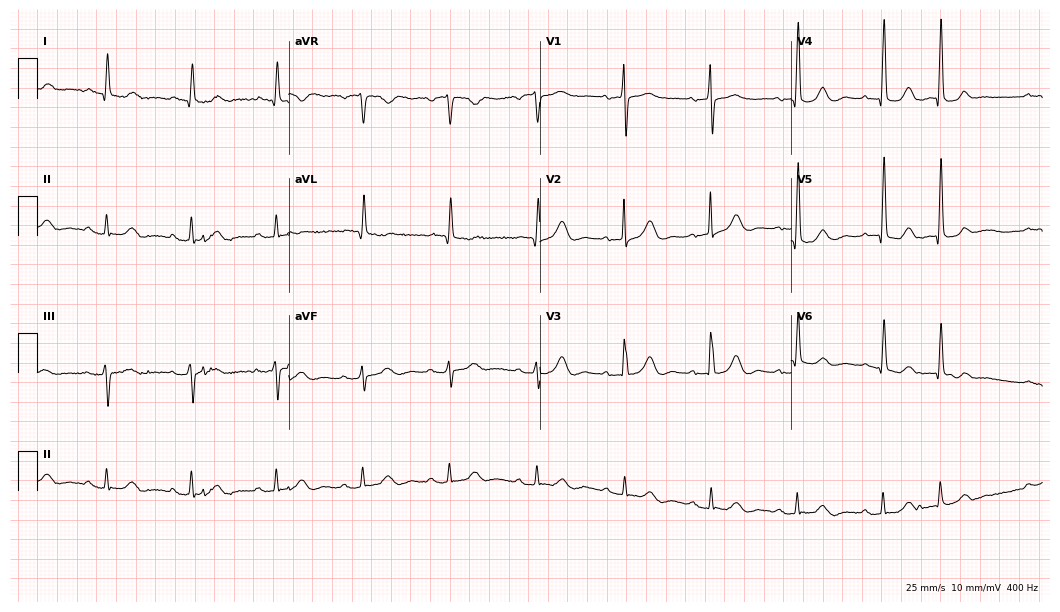
Standard 12-lead ECG recorded from a female, 83 years old (10.2-second recording at 400 Hz). None of these six findings is recorded: first-degree AV block, right bundle branch block (RBBB), left bundle branch block (LBBB), sinus bradycardia, atrial fibrillation (AF), sinus tachycardia.